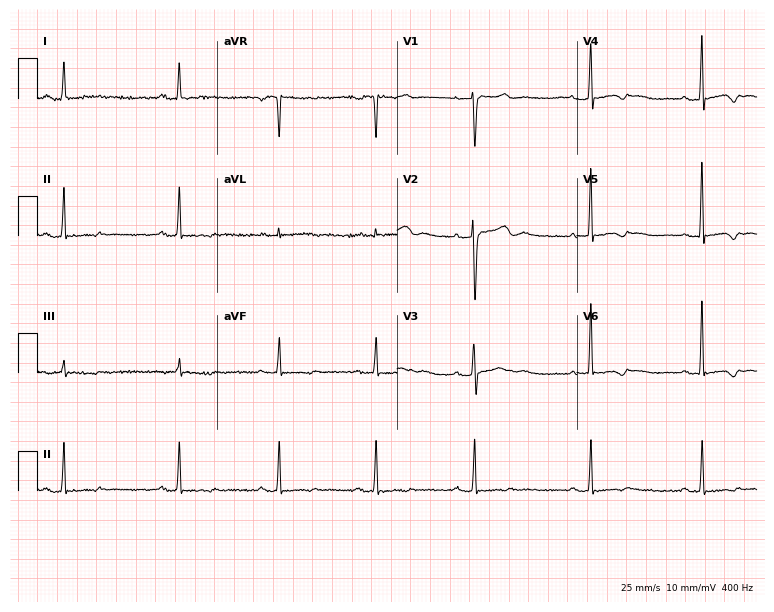
12-lead ECG from a 41-year-old female. No first-degree AV block, right bundle branch block (RBBB), left bundle branch block (LBBB), sinus bradycardia, atrial fibrillation (AF) or sinus tachycardia recorded for this tracing.